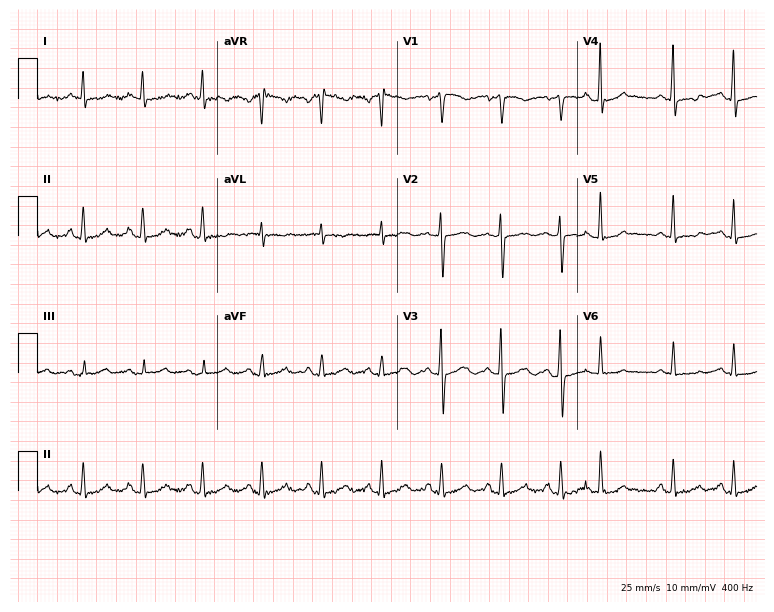
12-lead ECG from a female, 55 years old (7.3-second recording at 400 Hz). No first-degree AV block, right bundle branch block (RBBB), left bundle branch block (LBBB), sinus bradycardia, atrial fibrillation (AF) or sinus tachycardia recorded for this tracing. Findings outside these six are not listed.